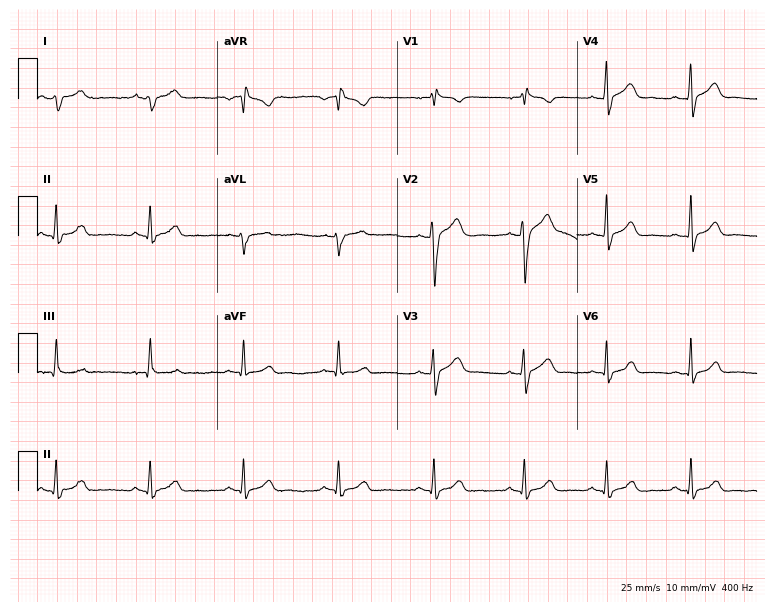
12-lead ECG from a 27-year-old man (7.3-second recording at 400 Hz). No first-degree AV block, right bundle branch block, left bundle branch block, sinus bradycardia, atrial fibrillation or sinus tachycardia recorded for this tracing.